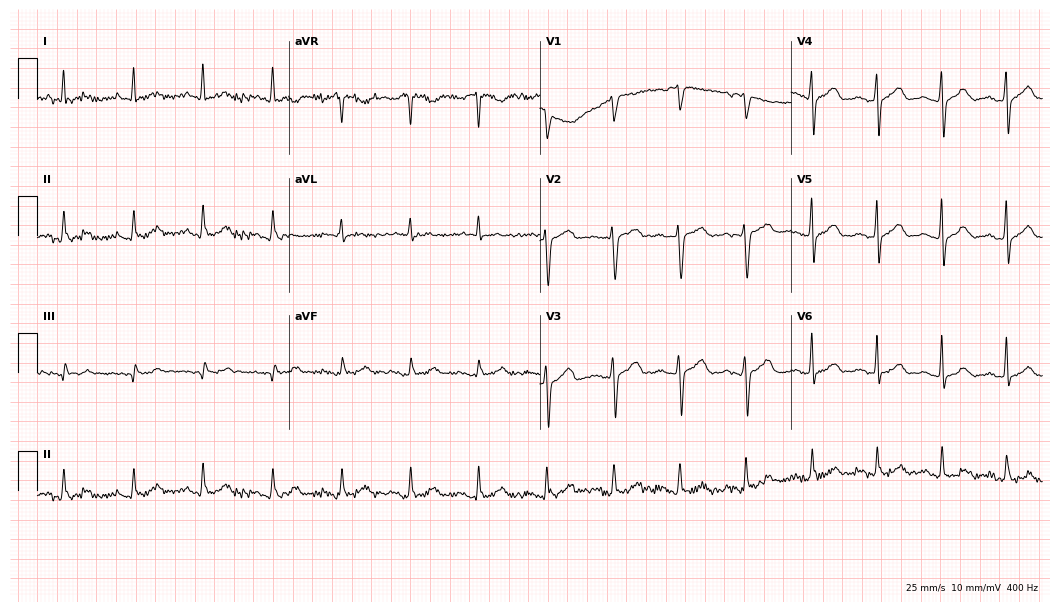
Standard 12-lead ECG recorded from a 50-year-old man (10.2-second recording at 400 Hz). Read as a normal ECG.